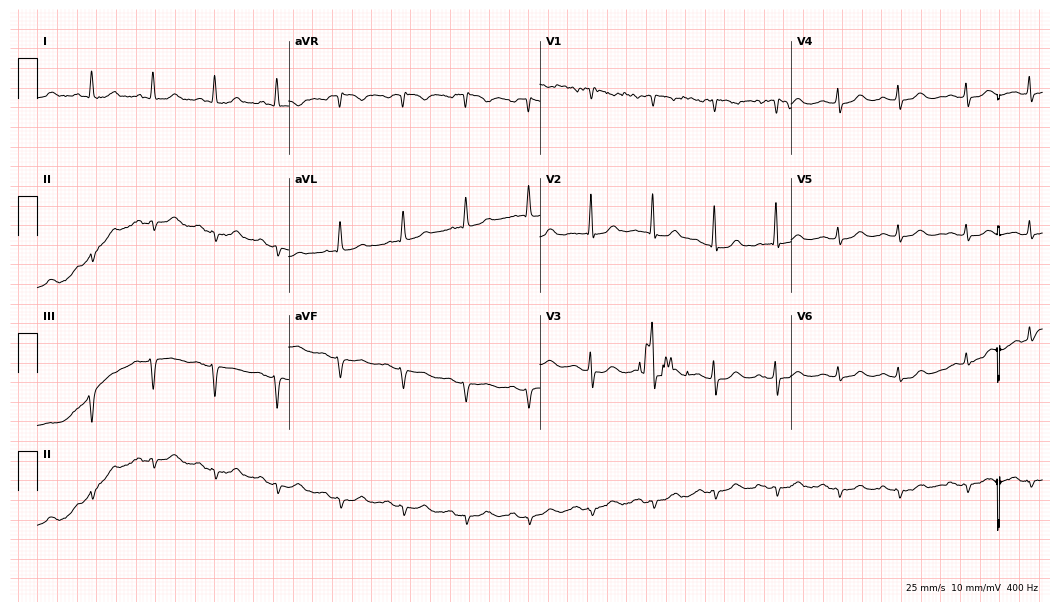
12-lead ECG (10.2-second recording at 400 Hz) from a female patient, 80 years old. Screened for six findings — first-degree AV block, right bundle branch block, left bundle branch block, sinus bradycardia, atrial fibrillation, sinus tachycardia — none is recorded.